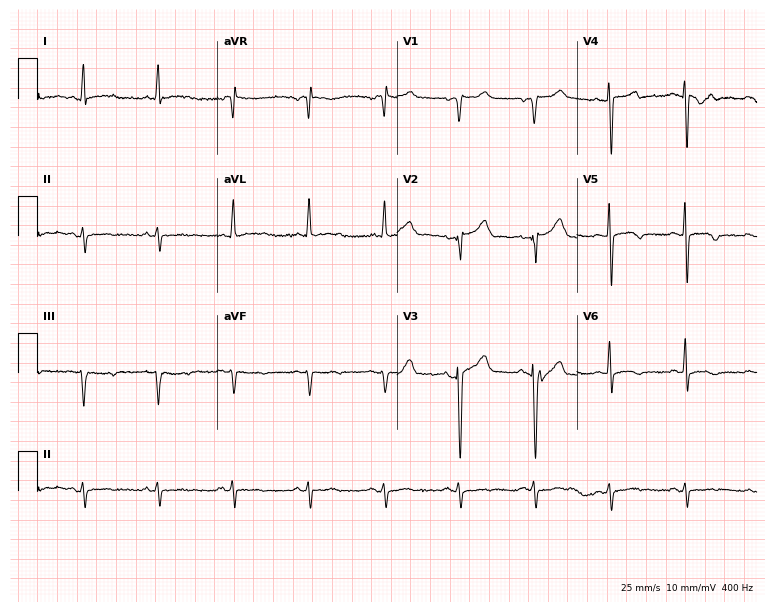
Electrocardiogram (7.3-second recording at 400 Hz), a 65-year-old man. Of the six screened findings (first-degree AV block, right bundle branch block, left bundle branch block, sinus bradycardia, atrial fibrillation, sinus tachycardia), none is recorded. Only these six findings were labelled.